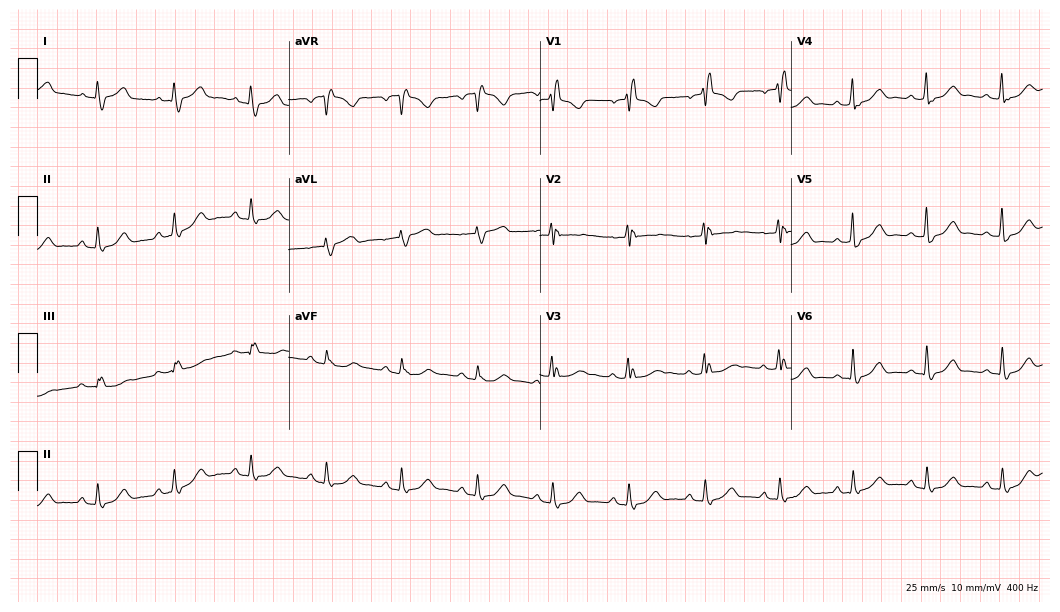
Resting 12-lead electrocardiogram. Patient: a 70-year-old female. The tracing shows right bundle branch block (RBBB).